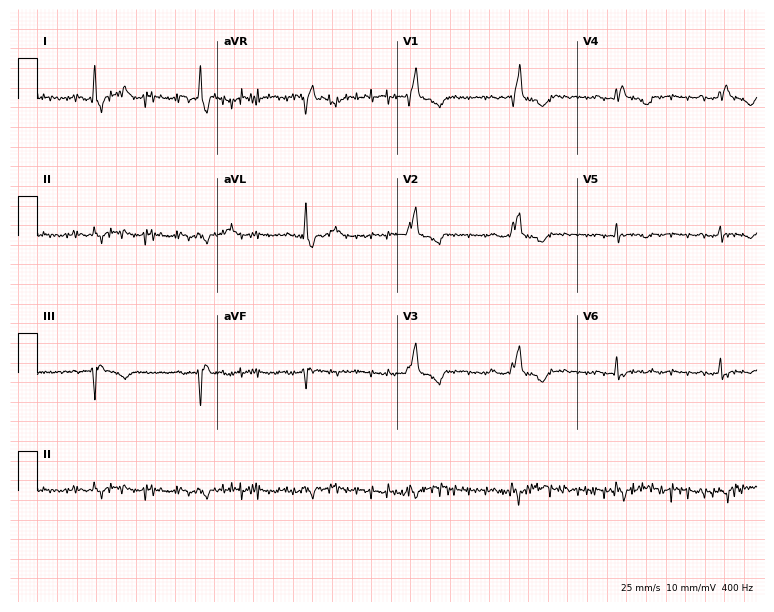
ECG (7.3-second recording at 400 Hz) — a female, 67 years old. Screened for six findings — first-degree AV block, right bundle branch block (RBBB), left bundle branch block (LBBB), sinus bradycardia, atrial fibrillation (AF), sinus tachycardia — none is recorded. Other findings, if any, are not listed.